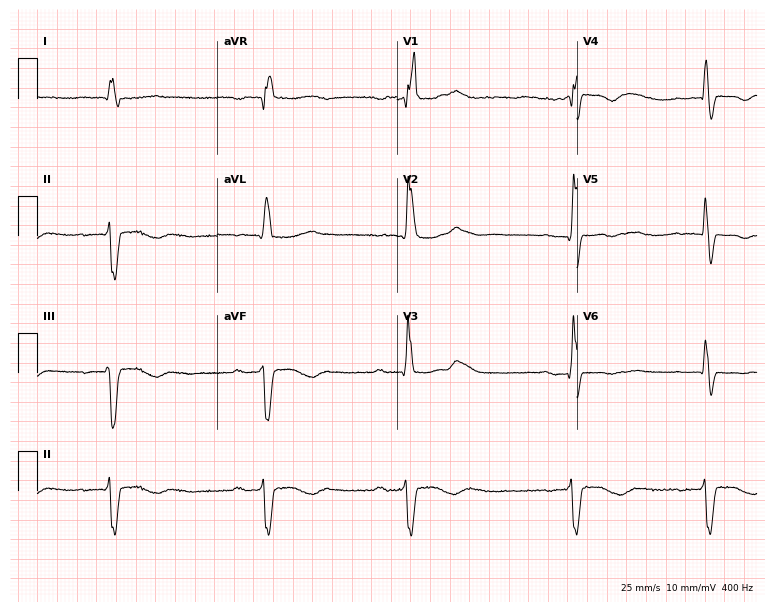
Resting 12-lead electrocardiogram. Patient: an 83-year-old male. The tracing shows first-degree AV block, right bundle branch block.